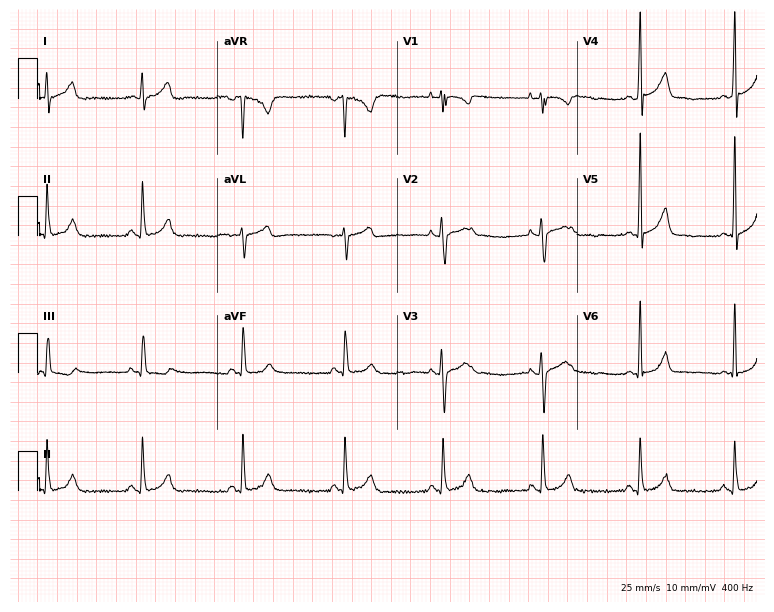
Electrocardiogram (7.3-second recording at 400 Hz), an 18-year-old man. Overall reading on record: normal ECG.